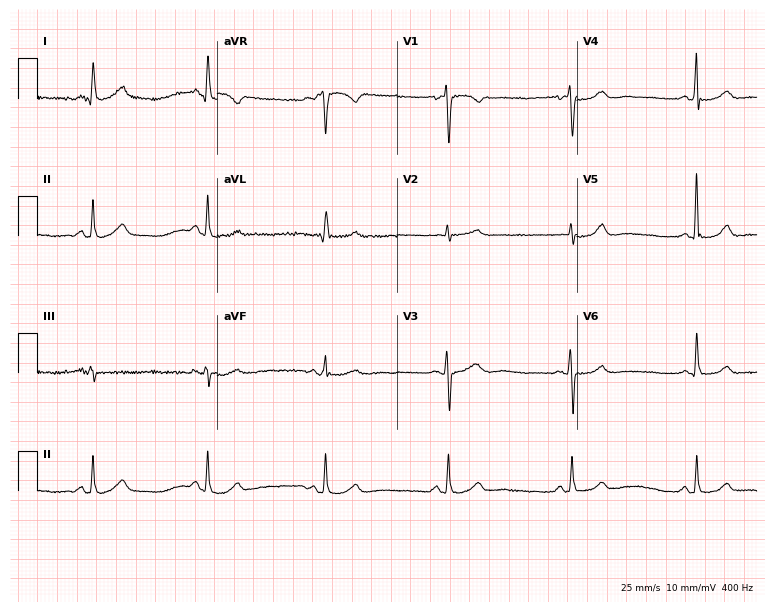
Electrocardiogram (7.3-second recording at 400 Hz), a 67-year-old woman. Interpretation includes sinus bradycardia (a sinus rate of 50 beats per minute or less).